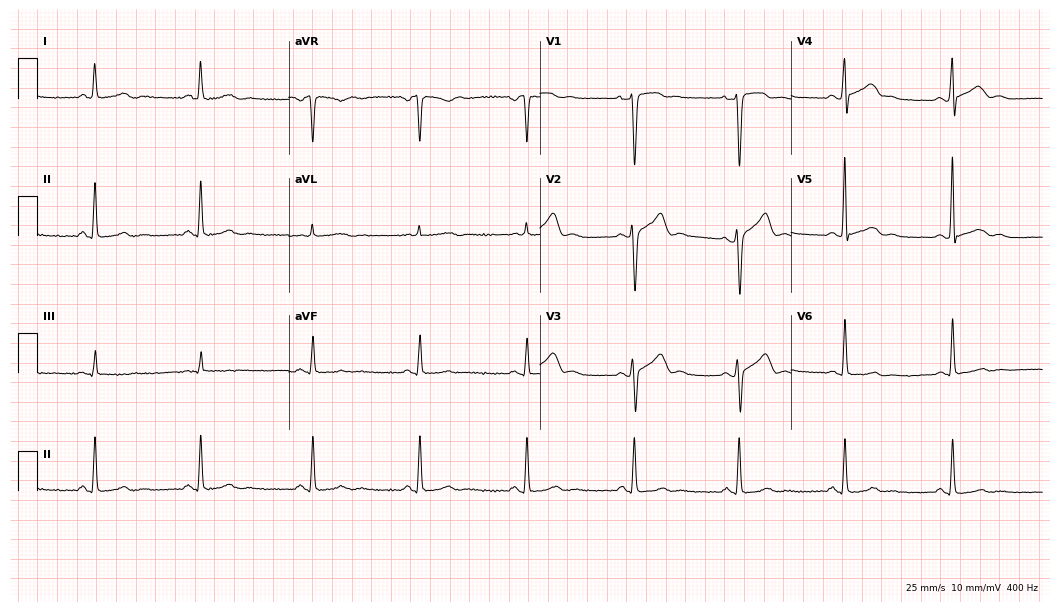
Electrocardiogram (10.2-second recording at 400 Hz), a male, 49 years old. Overall reading on record: normal ECG.